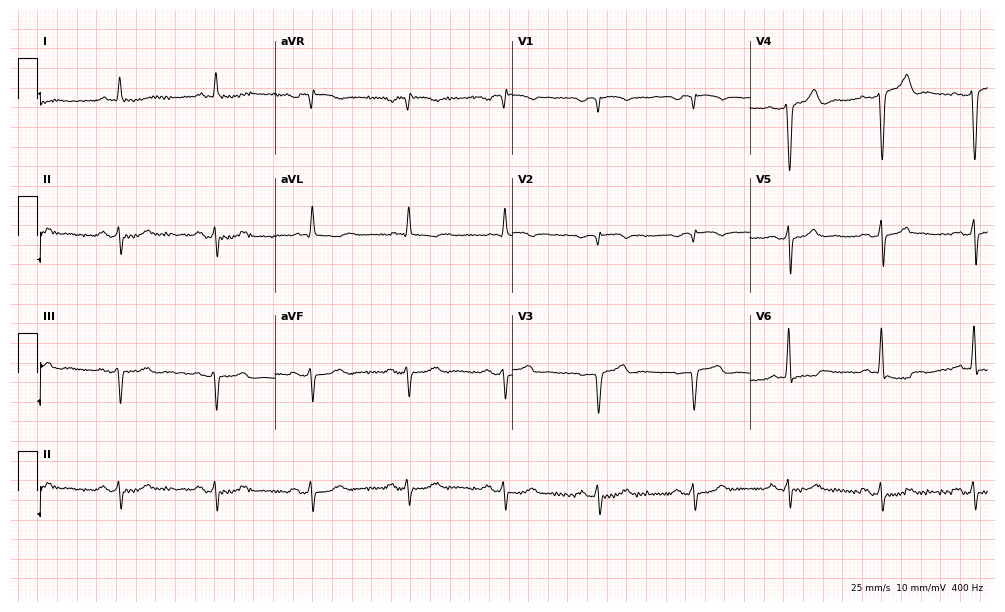
12-lead ECG from a male patient, 82 years old. No first-degree AV block, right bundle branch block, left bundle branch block, sinus bradycardia, atrial fibrillation or sinus tachycardia recorded for this tracing. Findings outside these six are not listed.